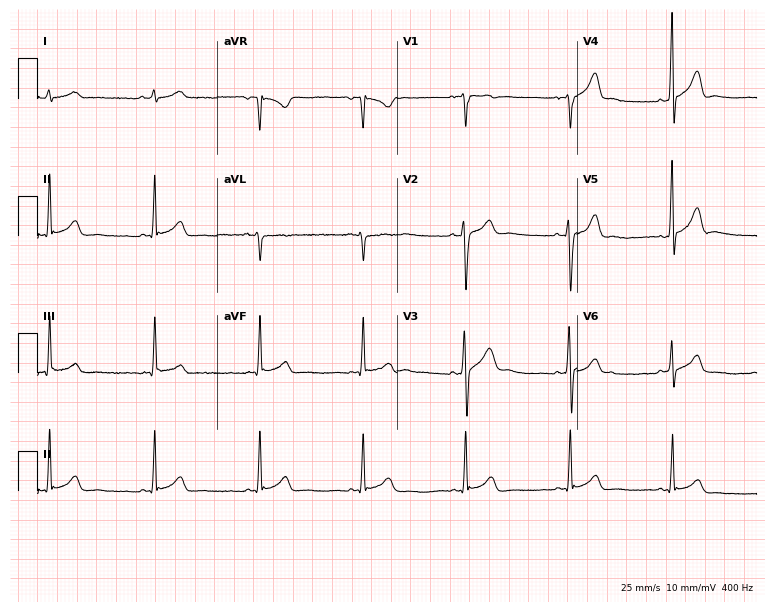
Resting 12-lead electrocardiogram (7.3-second recording at 400 Hz). Patient: a male, 28 years old. Read as a normal ECG.